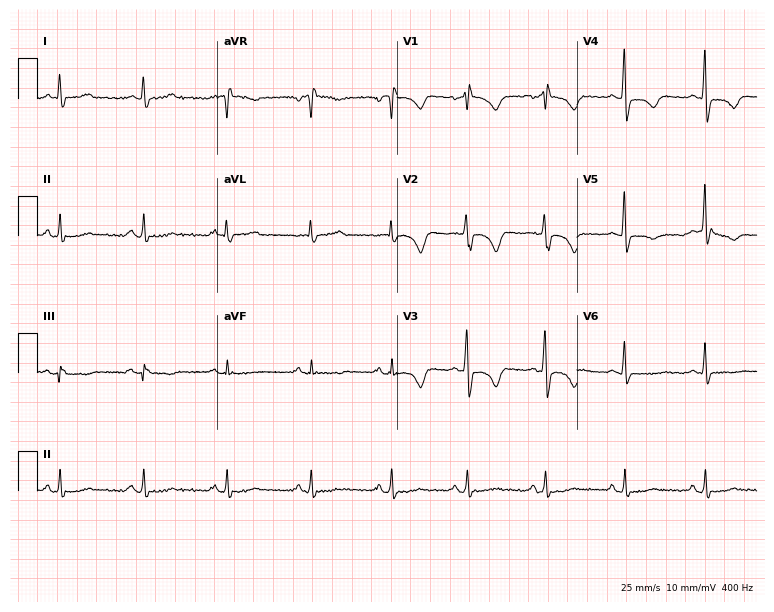
Resting 12-lead electrocardiogram. Patient: a man, 60 years old. None of these six findings is recorded: first-degree AV block, right bundle branch block, left bundle branch block, sinus bradycardia, atrial fibrillation, sinus tachycardia.